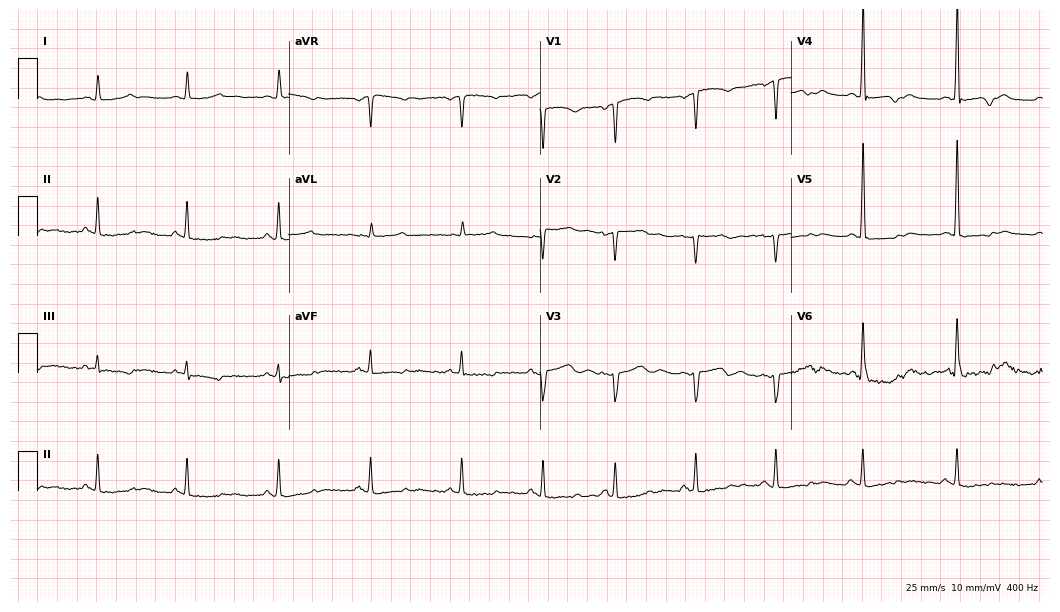
12-lead ECG from a 42-year-old female. Screened for six findings — first-degree AV block, right bundle branch block (RBBB), left bundle branch block (LBBB), sinus bradycardia, atrial fibrillation (AF), sinus tachycardia — none is recorded. Findings outside these six are not listed.